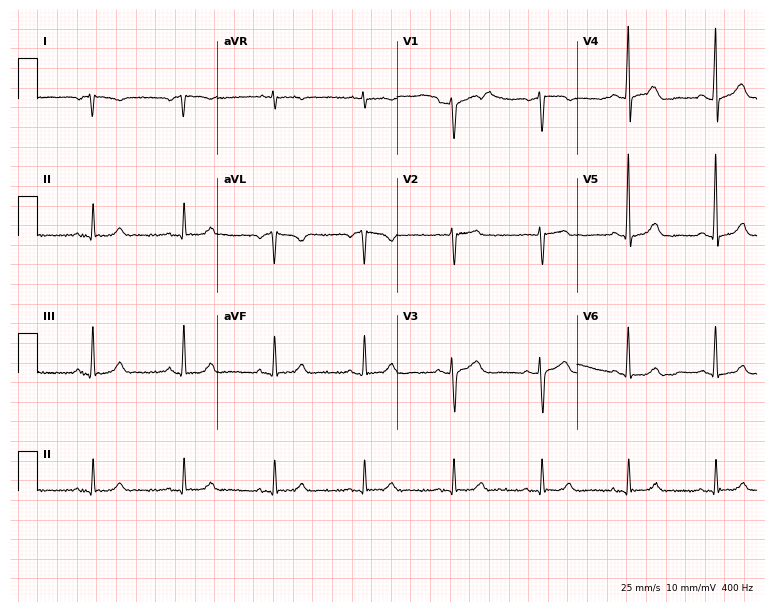
12-lead ECG from a 56-year-old female patient. Screened for six findings — first-degree AV block, right bundle branch block, left bundle branch block, sinus bradycardia, atrial fibrillation, sinus tachycardia — none is recorded.